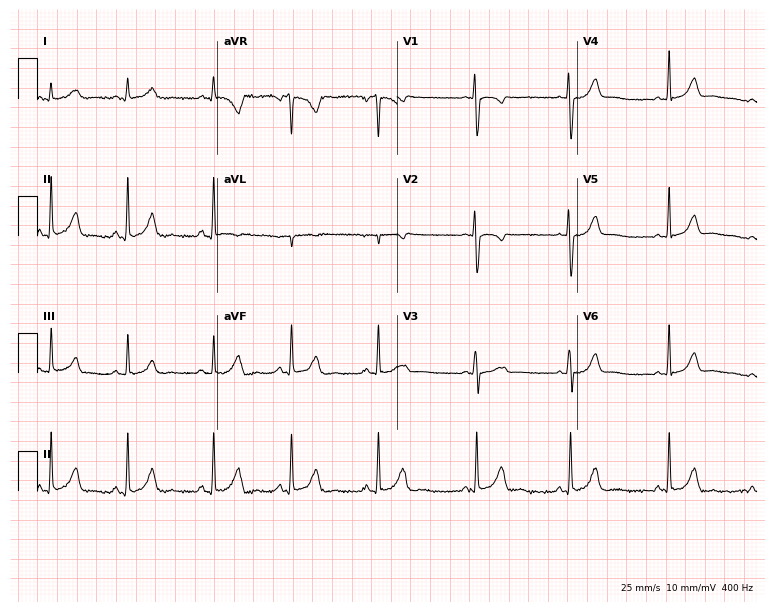
12-lead ECG from an 18-year-old woman. Labelled as a normal ECG.